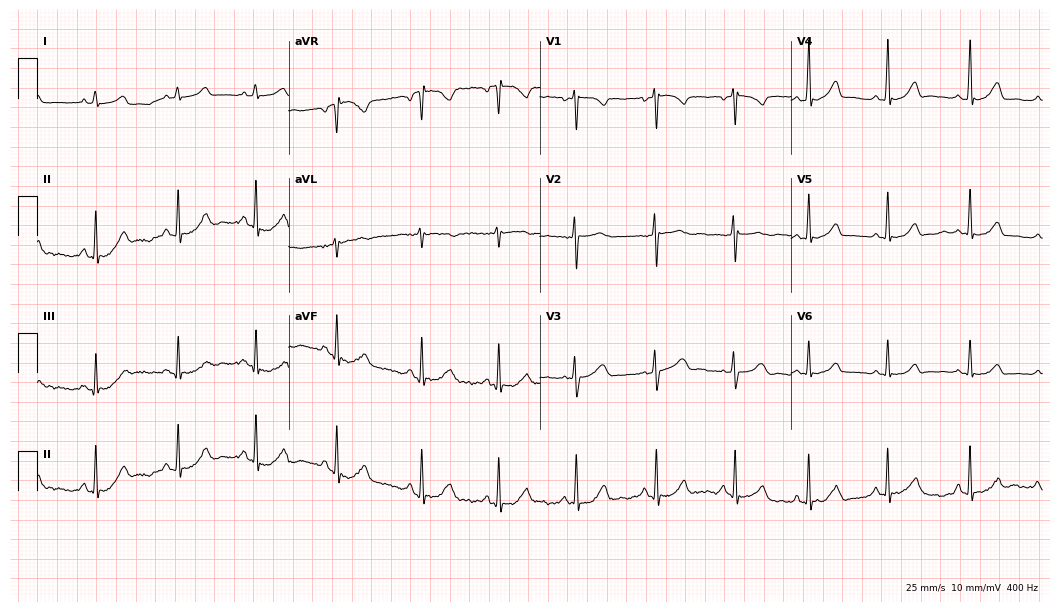
12-lead ECG from a 20-year-old female patient. Recorded interpretation: within normal limits.